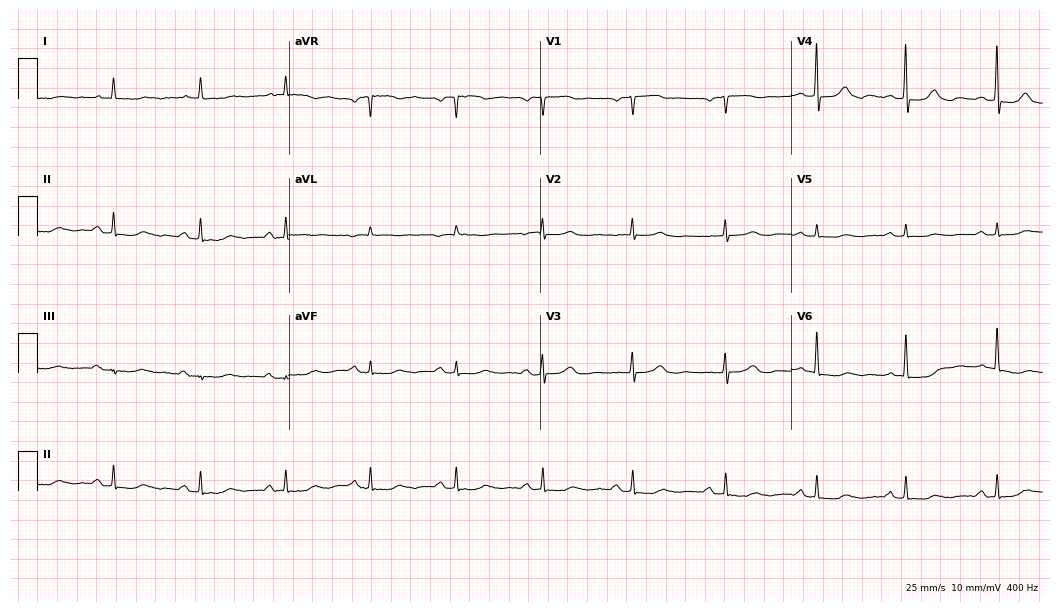
Electrocardiogram (10.2-second recording at 400 Hz), a female, 75 years old. Of the six screened findings (first-degree AV block, right bundle branch block (RBBB), left bundle branch block (LBBB), sinus bradycardia, atrial fibrillation (AF), sinus tachycardia), none is recorded. Findings outside these six are not listed.